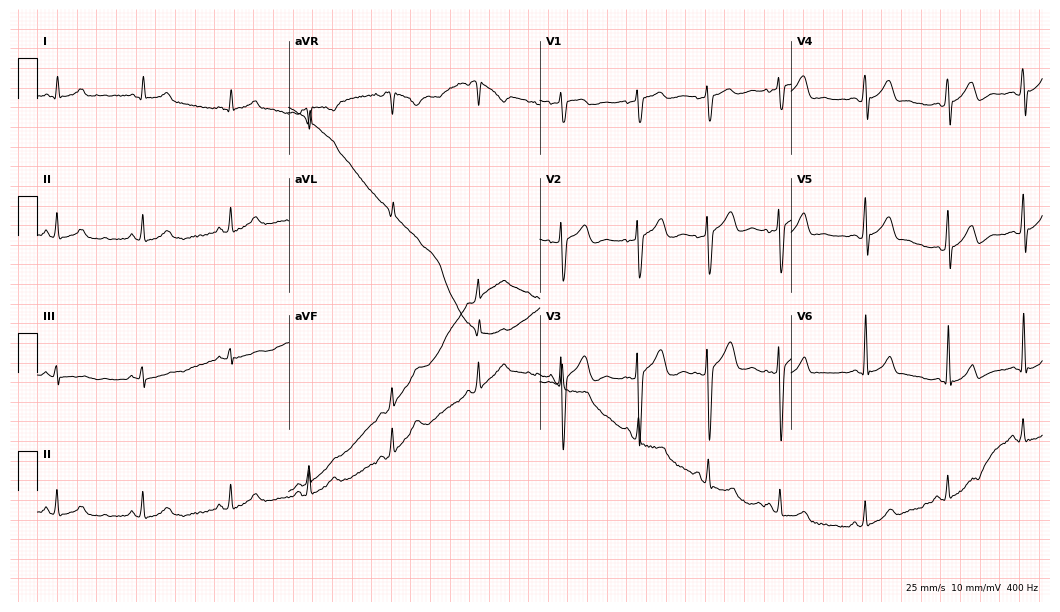
ECG (10.2-second recording at 400 Hz) — an 18-year-old male patient. Labelled as a normal ECG.